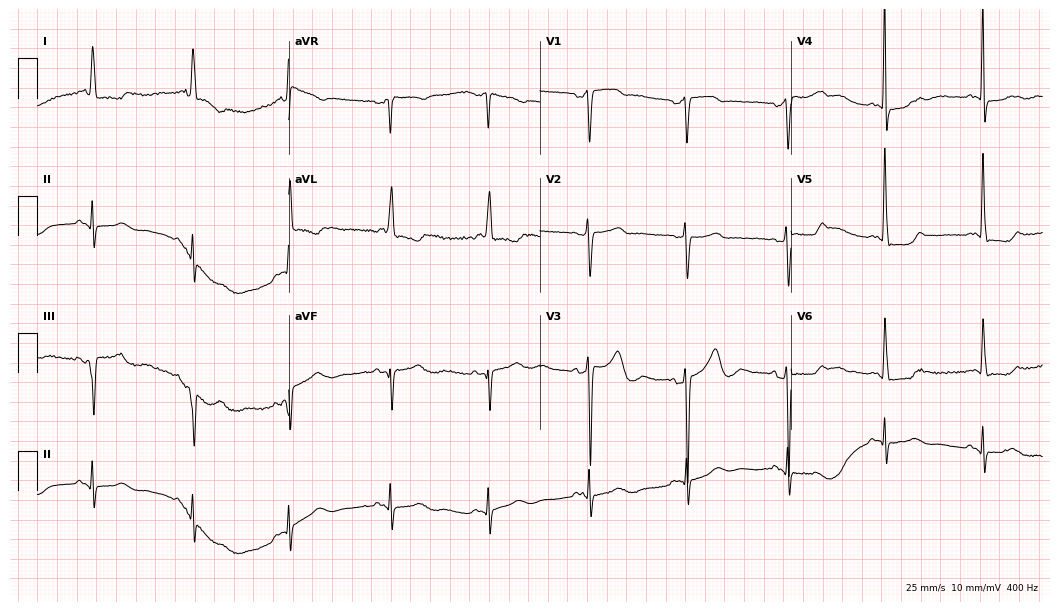
ECG (10.2-second recording at 400 Hz) — a female, 83 years old. Screened for six findings — first-degree AV block, right bundle branch block, left bundle branch block, sinus bradycardia, atrial fibrillation, sinus tachycardia — none is recorded. Other findings, if any, are not listed.